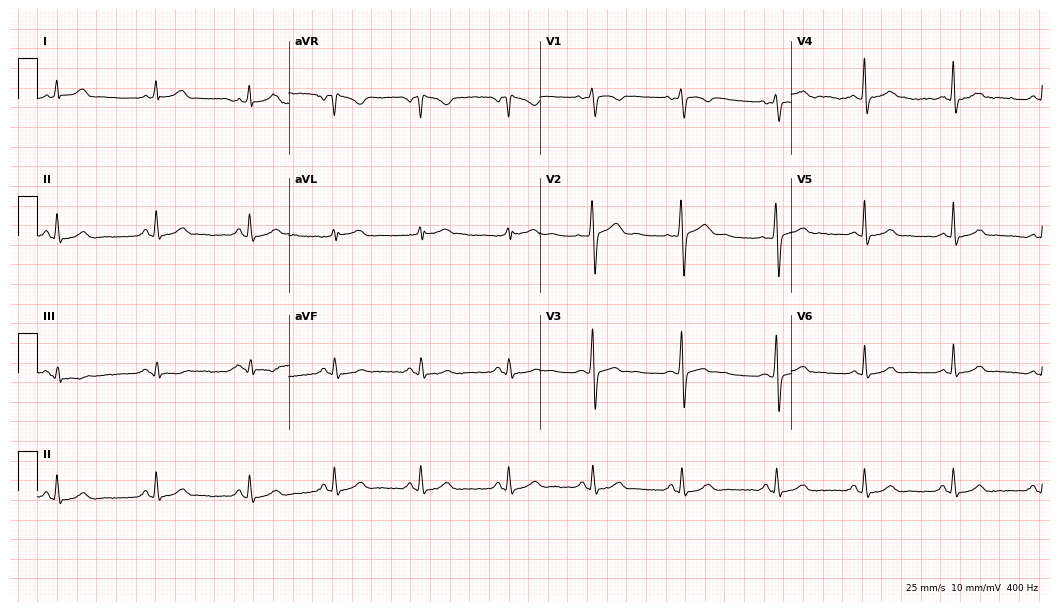
12-lead ECG from a female, 26 years old (10.2-second recording at 400 Hz). Recorded interpretation: within normal limits.